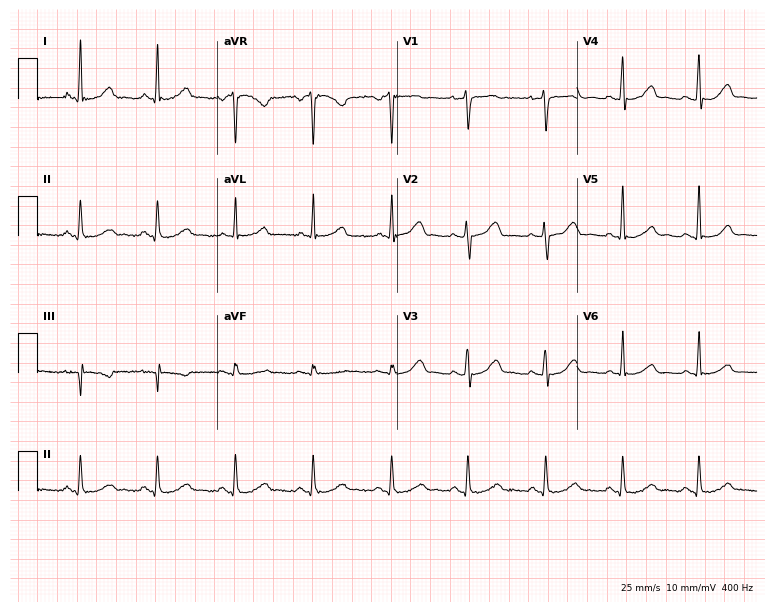
Electrocardiogram (7.3-second recording at 400 Hz), a 60-year-old woman. Overall reading on record: normal ECG.